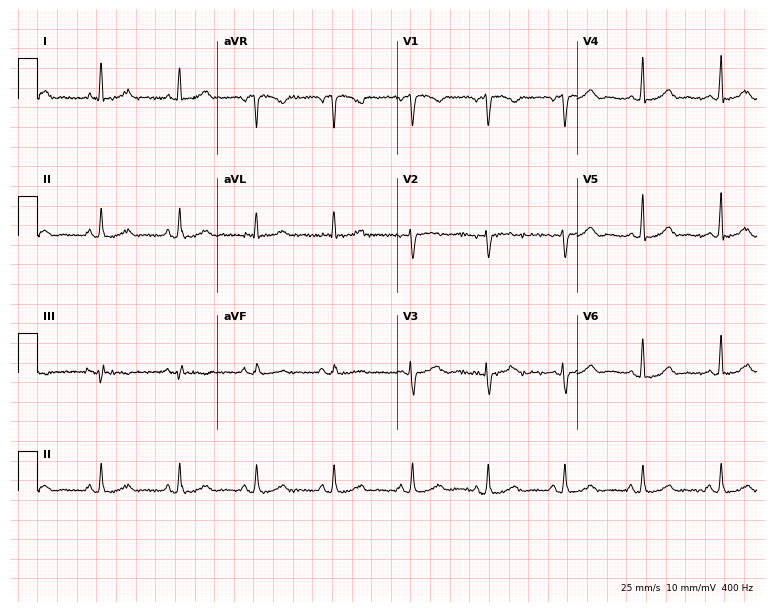
Electrocardiogram, a woman, 61 years old. Overall reading on record: normal ECG.